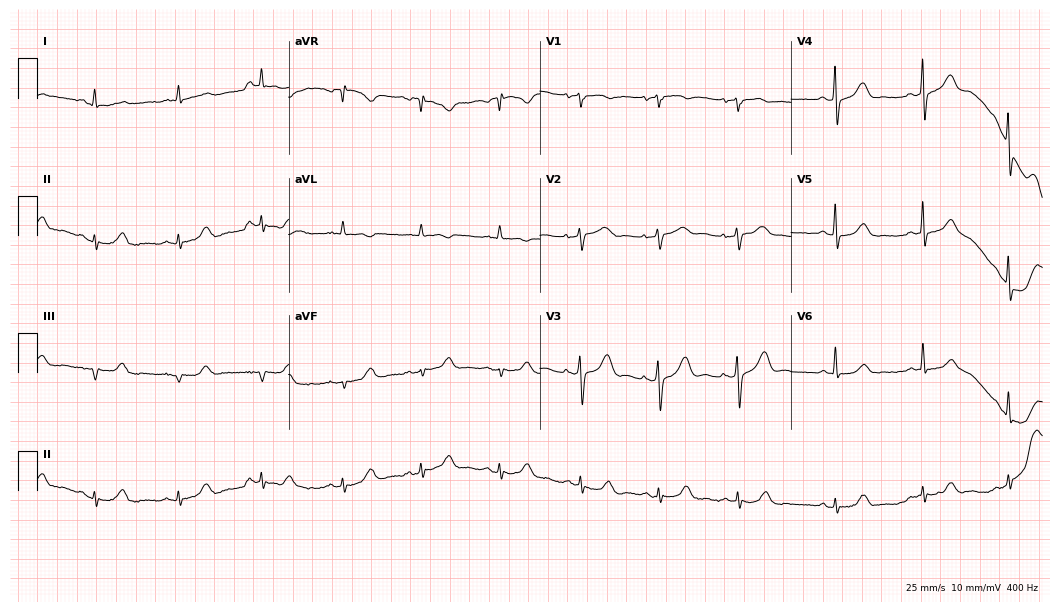
Electrocardiogram (10.2-second recording at 400 Hz), a 68-year-old female. Of the six screened findings (first-degree AV block, right bundle branch block (RBBB), left bundle branch block (LBBB), sinus bradycardia, atrial fibrillation (AF), sinus tachycardia), none is recorded.